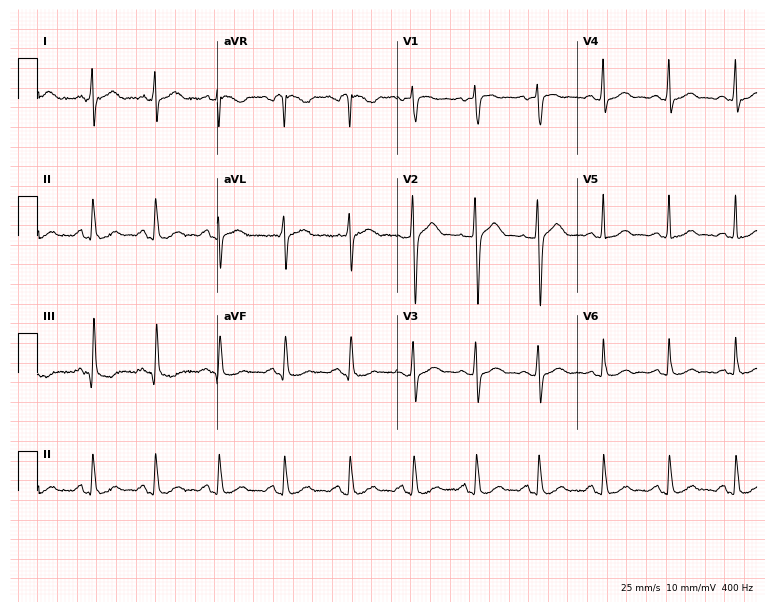
Standard 12-lead ECG recorded from a 50-year-old female (7.3-second recording at 400 Hz). None of these six findings is recorded: first-degree AV block, right bundle branch block (RBBB), left bundle branch block (LBBB), sinus bradycardia, atrial fibrillation (AF), sinus tachycardia.